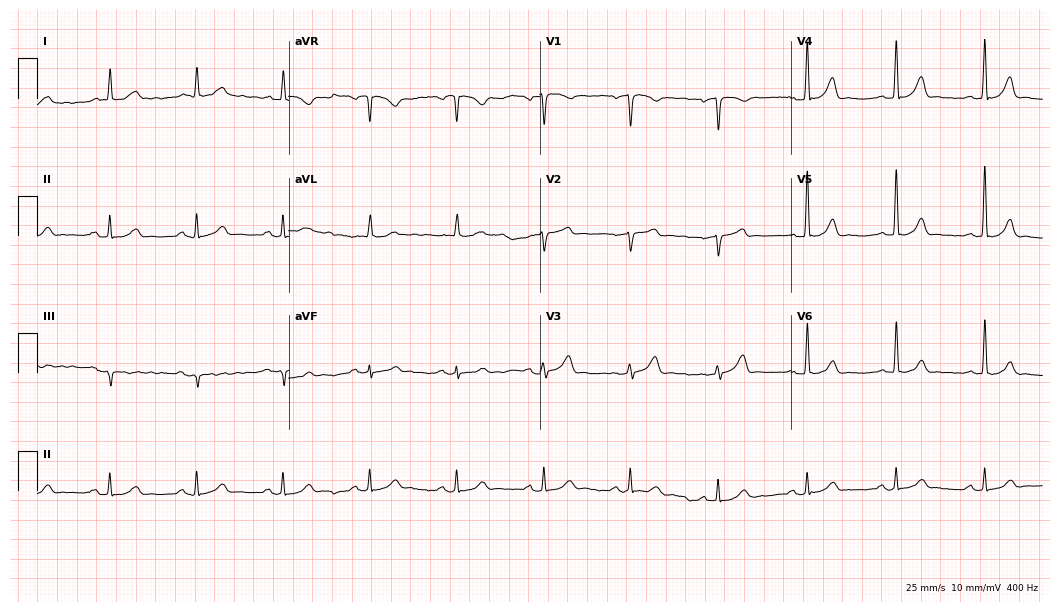
Resting 12-lead electrocardiogram (10.2-second recording at 400 Hz). Patient: a 79-year-old man. Read as a normal ECG.